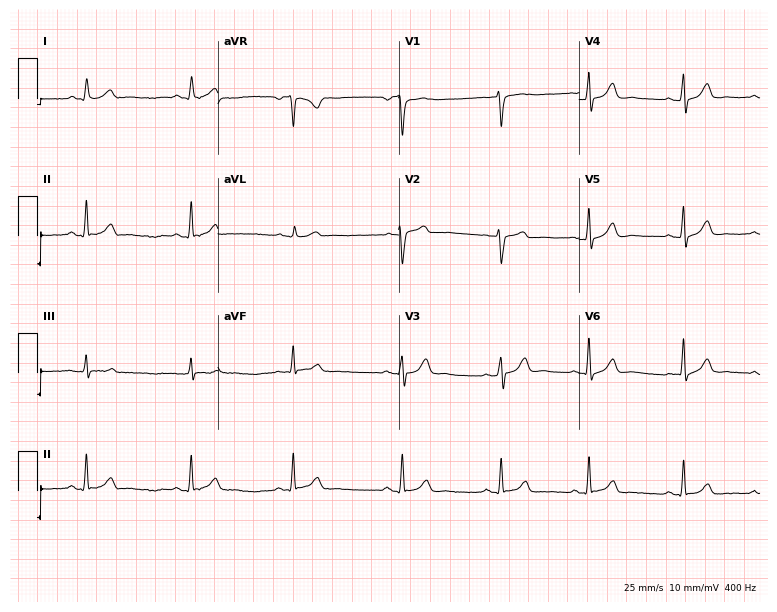
Electrocardiogram, a 33-year-old female patient. Overall reading on record: normal ECG.